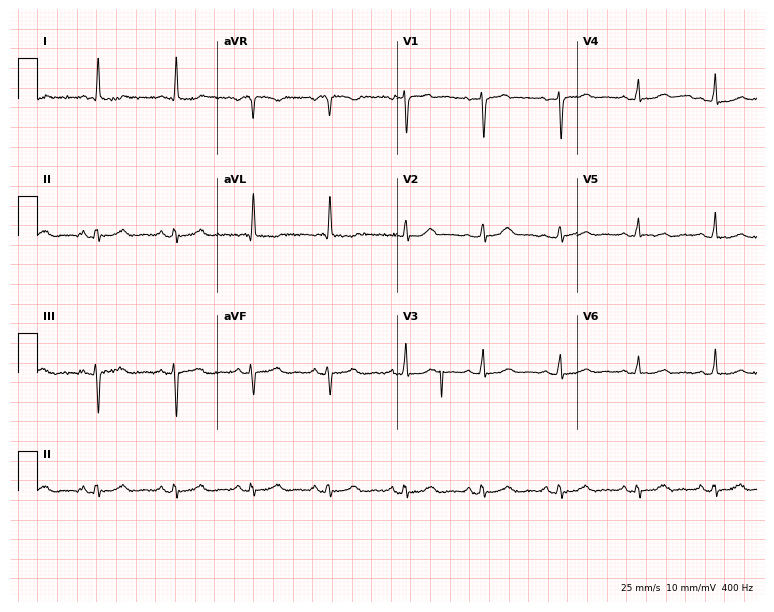
Standard 12-lead ECG recorded from a female, 56 years old (7.3-second recording at 400 Hz). None of these six findings is recorded: first-degree AV block, right bundle branch block, left bundle branch block, sinus bradycardia, atrial fibrillation, sinus tachycardia. Findings outside these six are not listed.